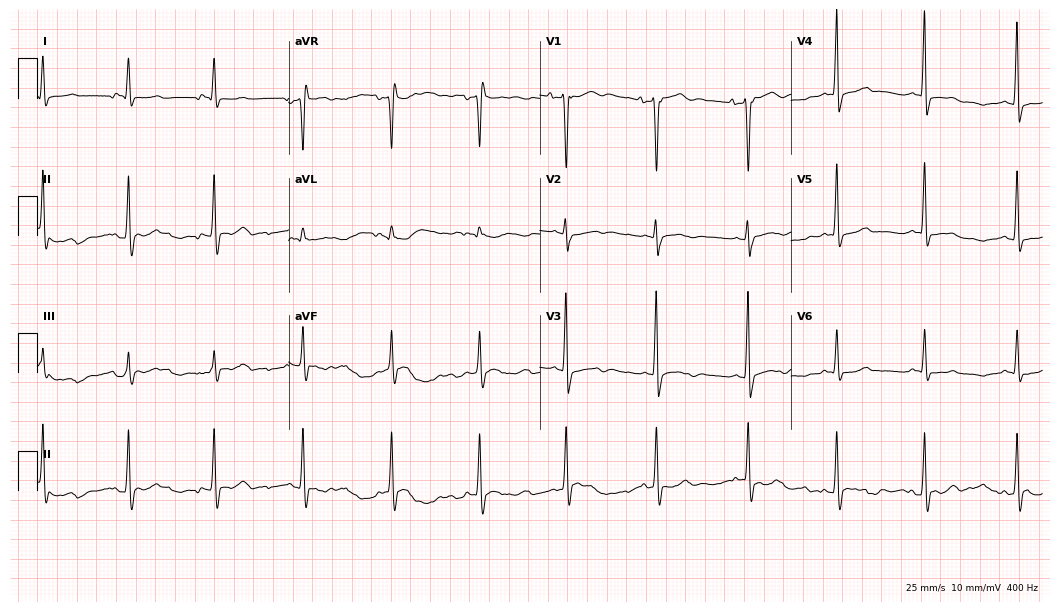
Resting 12-lead electrocardiogram (10.2-second recording at 400 Hz). Patient: a 22-year-old female. None of these six findings is recorded: first-degree AV block, right bundle branch block, left bundle branch block, sinus bradycardia, atrial fibrillation, sinus tachycardia. Other findings, if any, are not listed.